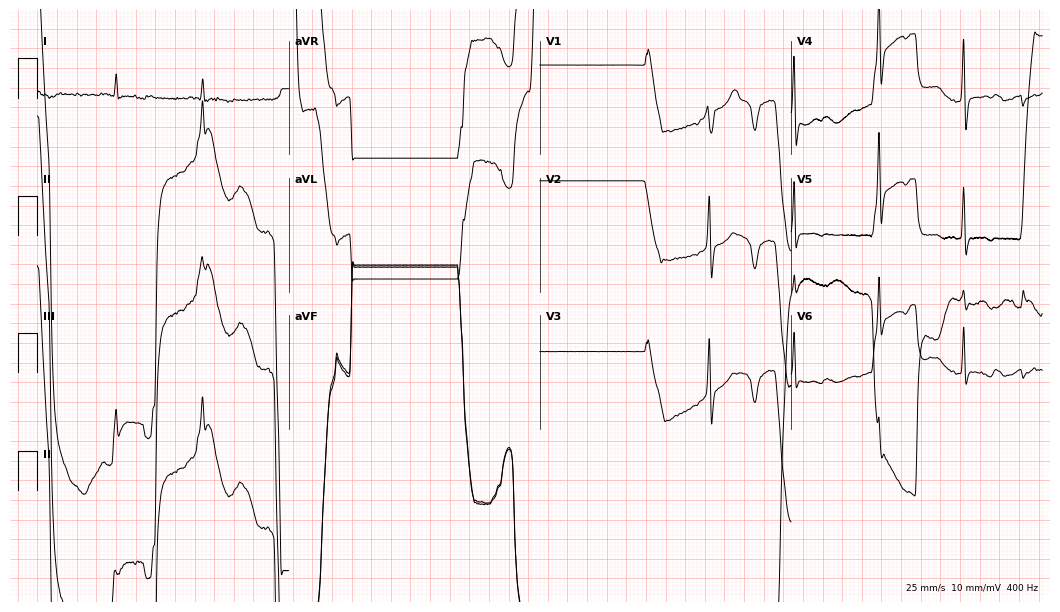
Electrocardiogram (10.2-second recording at 400 Hz), a 67-year-old man. Of the six screened findings (first-degree AV block, right bundle branch block, left bundle branch block, sinus bradycardia, atrial fibrillation, sinus tachycardia), none is recorded.